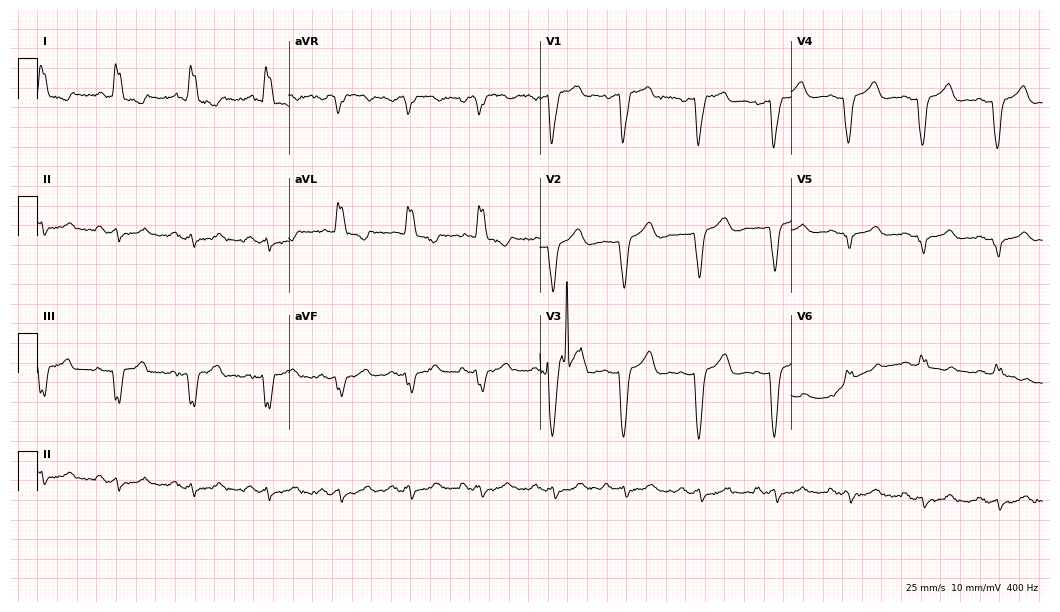
12-lead ECG from a 70-year-old female. Shows left bundle branch block.